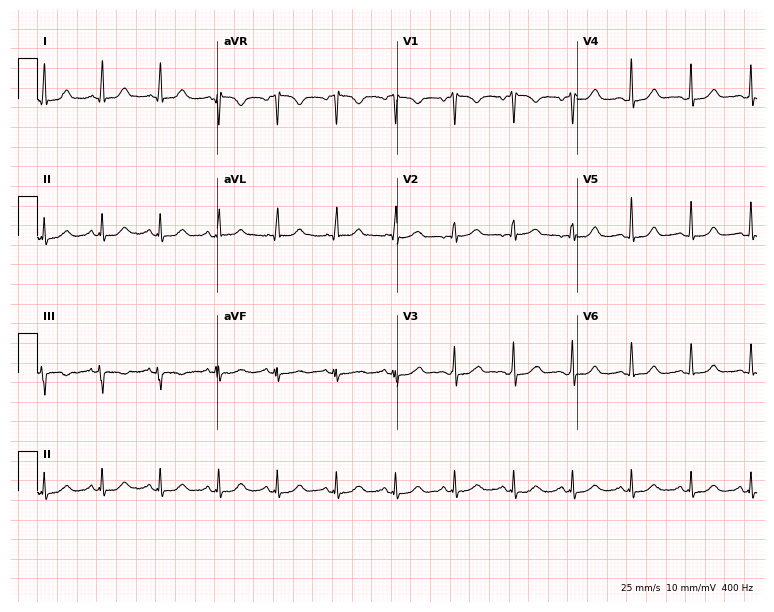
Resting 12-lead electrocardiogram. Patient: a woman, 46 years old. Read as a normal ECG.